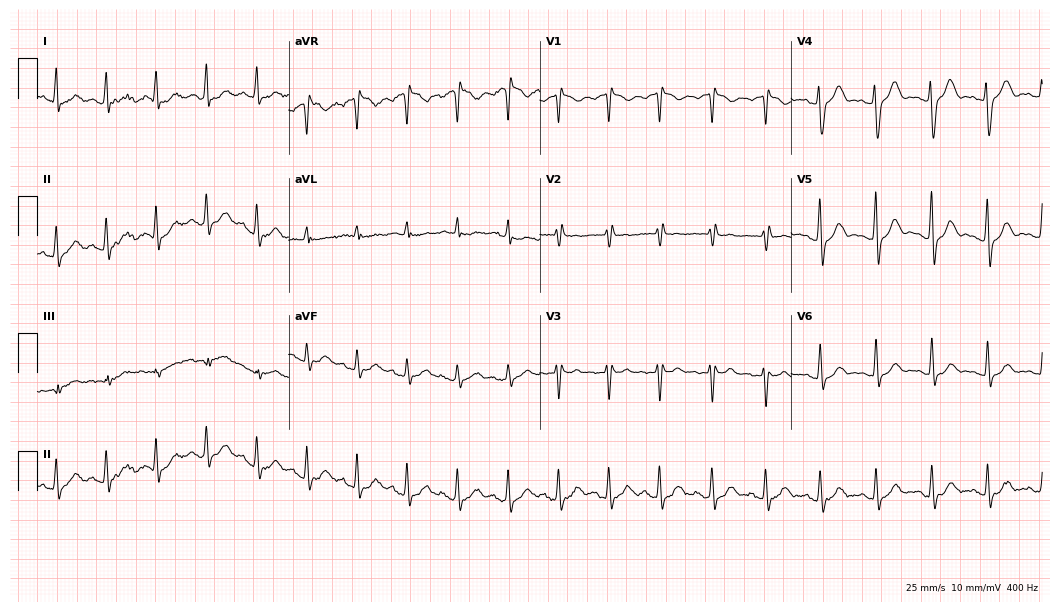
12-lead ECG from a 37-year-old male patient. Screened for six findings — first-degree AV block, right bundle branch block (RBBB), left bundle branch block (LBBB), sinus bradycardia, atrial fibrillation (AF), sinus tachycardia — none is recorded. Findings outside these six are not listed.